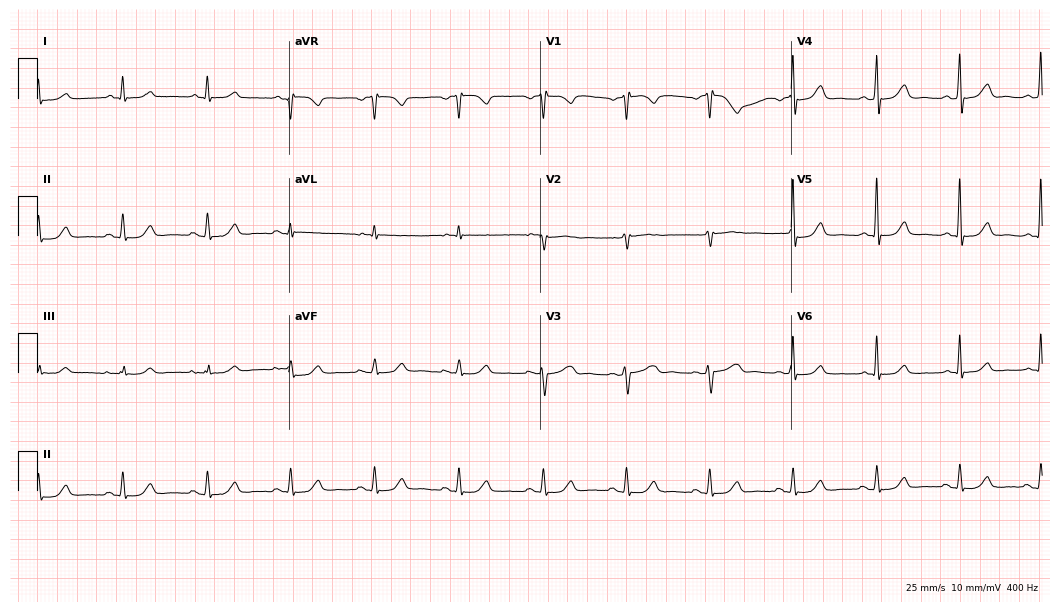
Resting 12-lead electrocardiogram. Patient: a female, 67 years old. Read as a normal ECG.